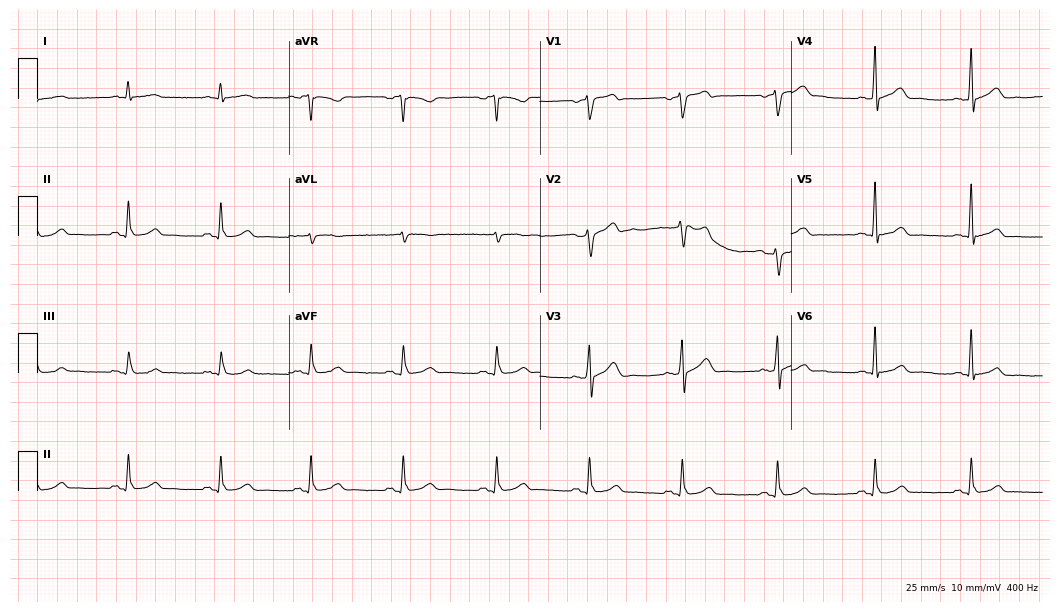
Electrocardiogram (10.2-second recording at 400 Hz), a male, 66 years old. Overall reading on record: normal ECG.